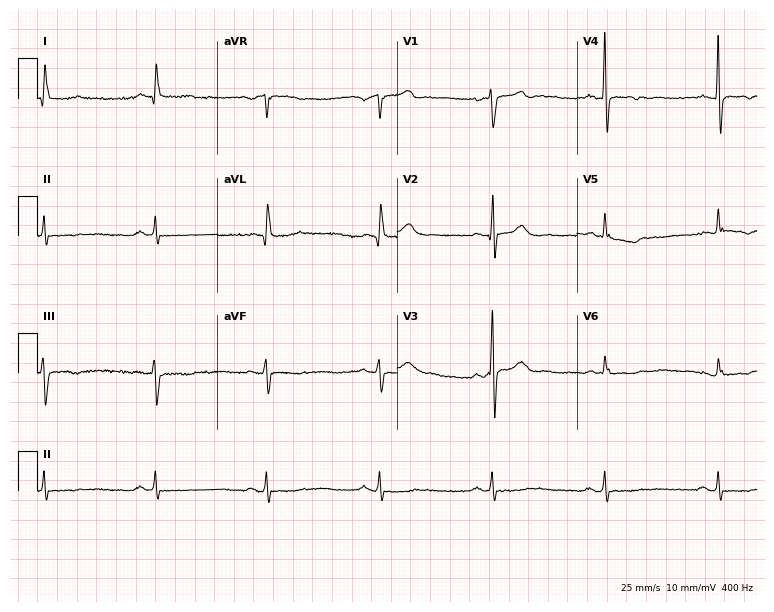
12-lead ECG from a man, 60 years old (7.3-second recording at 400 Hz). No first-degree AV block, right bundle branch block (RBBB), left bundle branch block (LBBB), sinus bradycardia, atrial fibrillation (AF) or sinus tachycardia recorded for this tracing.